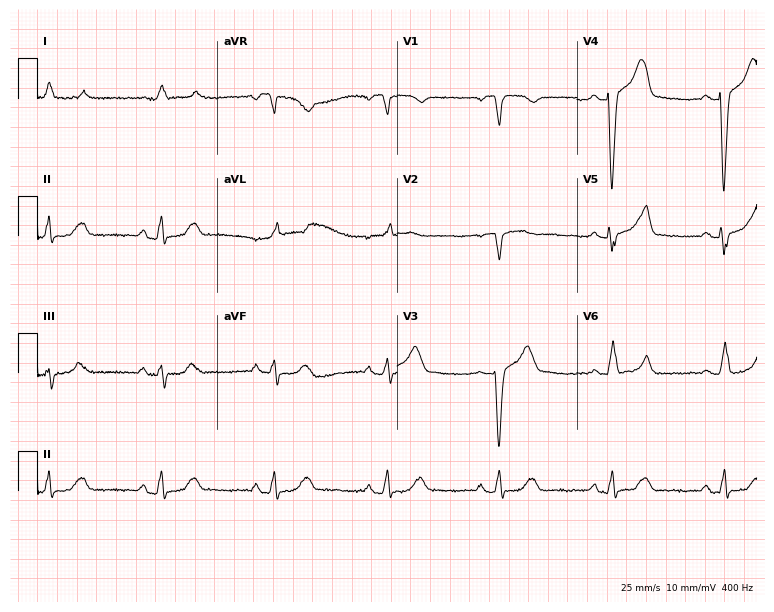
Standard 12-lead ECG recorded from a male, 82 years old (7.3-second recording at 400 Hz). None of these six findings is recorded: first-degree AV block, right bundle branch block (RBBB), left bundle branch block (LBBB), sinus bradycardia, atrial fibrillation (AF), sinus tachycardia. Other findings, if any, are not listed.